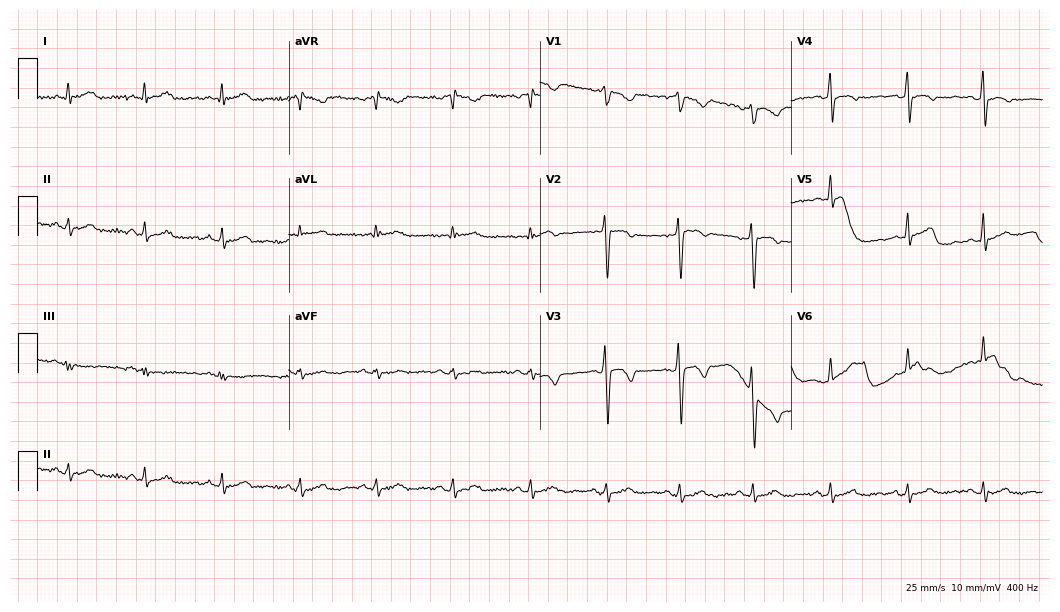
12-lead ECG from a 40-year-old man. Screened for six findings — first-degree AV block, right bundle branch block, left bundle branch block, sinus bradycardia, atrial fibrillation, sinus tachycardia — none is recorded.